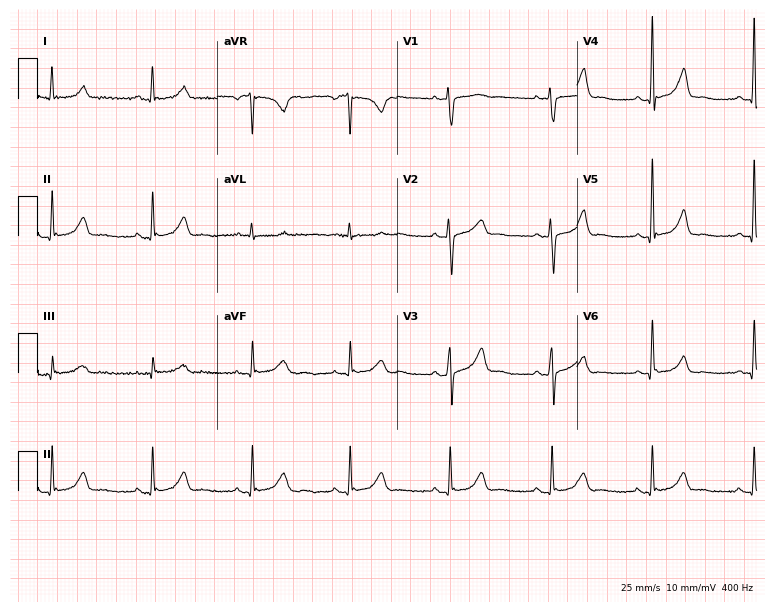
12-lead ECG from a 54-year-old woman (7.3-second recording at 400 Hz). No first-degree AV block, right bundle branch block, left bundle branch block, sinus bradycardia, atrial fibrillation or sinus tachycardia recorded for this tracing. Findings outside these six are not listed.